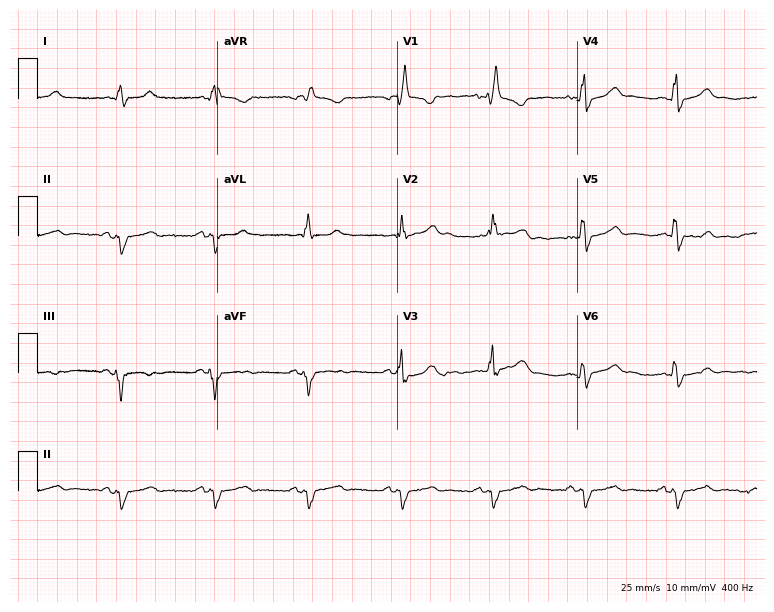
12-lead ECG from a male, 55 years old. Shows right bundle branch block.